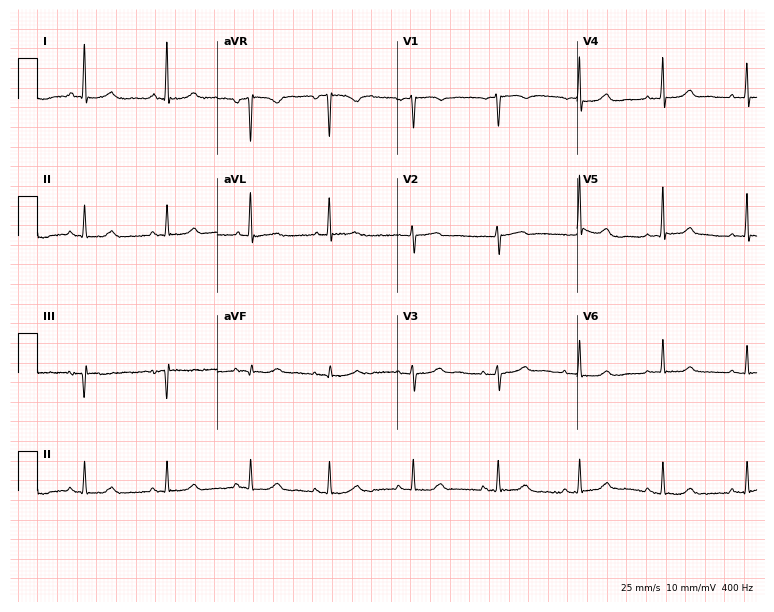
ECG — a 72-year-old female patient. Labelled as a normal ECG.